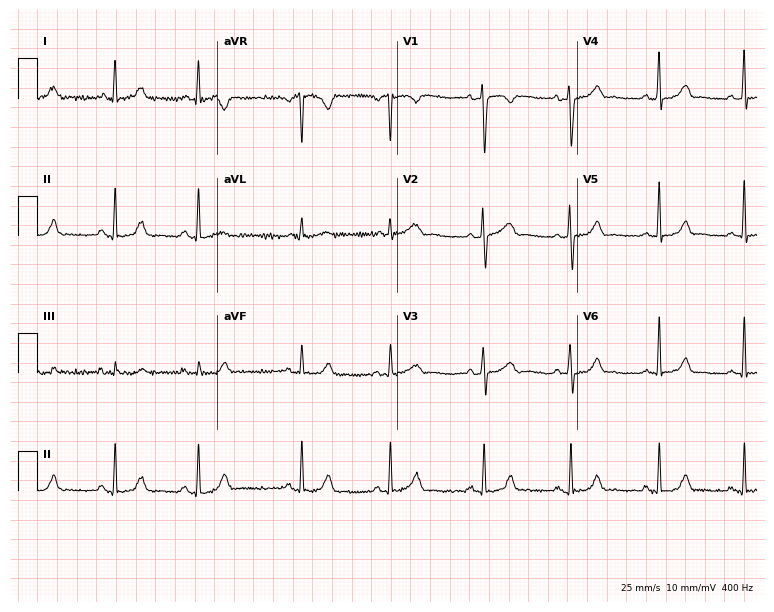
Standard 12-lead ECG recorded from a 21-year-old female patient (7.3-second recording at 400 Hz). None of these six findings is recorded: first-degree AV block, right bundle branch block (RBBB), left bundle branch block (LBBB), sinus bradycardia, atrial fibrillation (AF), sinus tachycardia. Other findings, if any, are not listed.